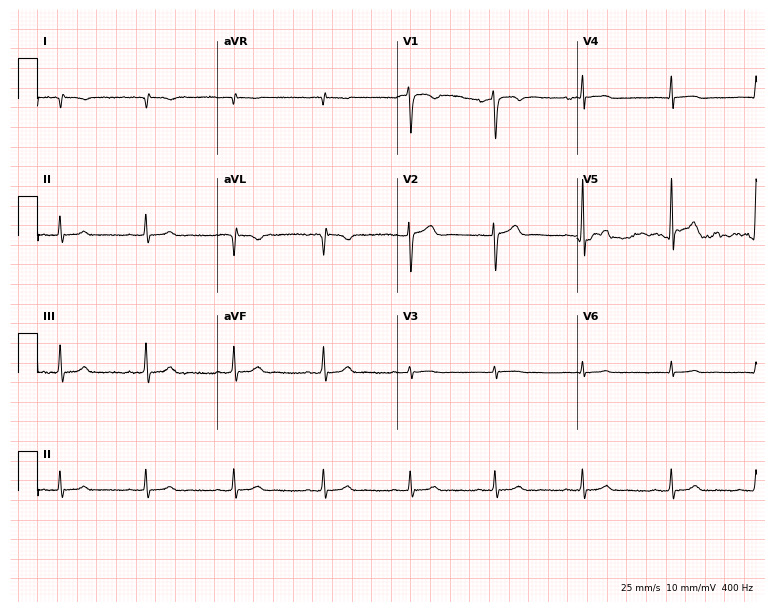
Standard 12-lead ECG recorded from a 35-year-old male patient (7.3-second recording at 400 Hz). None of these six findings is recorded: first-degree AV block, right bundle branch block, left bundle branch block, sinus bradycardia, atrial fibrillation, sinus tachycardia. Other findings, if any, are not listed.